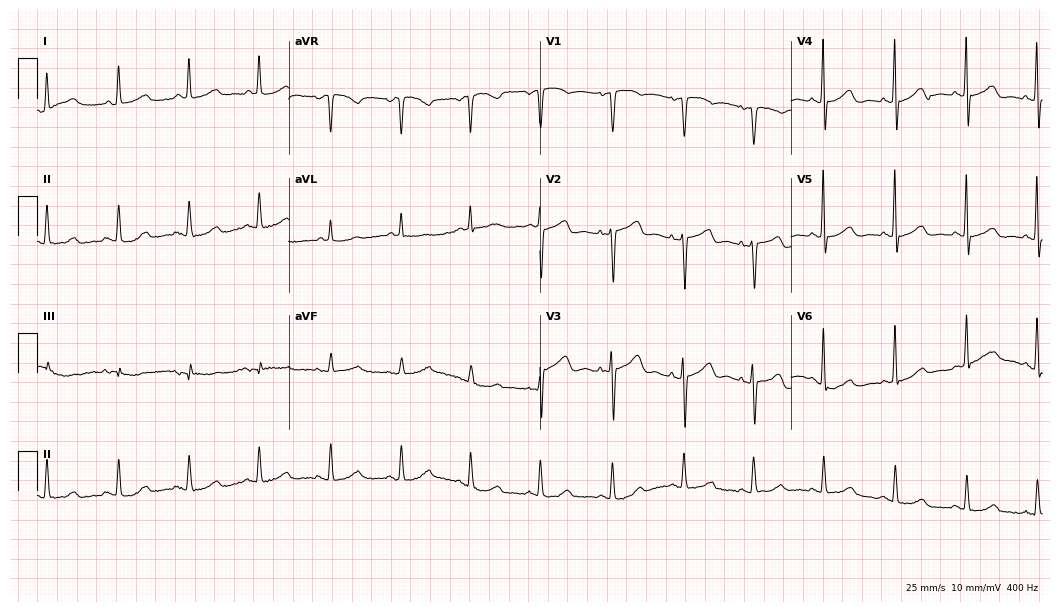
Electrocardiogram (10.2-second recording at 400 Hz), a female patient, 82 years old. Overall reading on record: normal ECG.